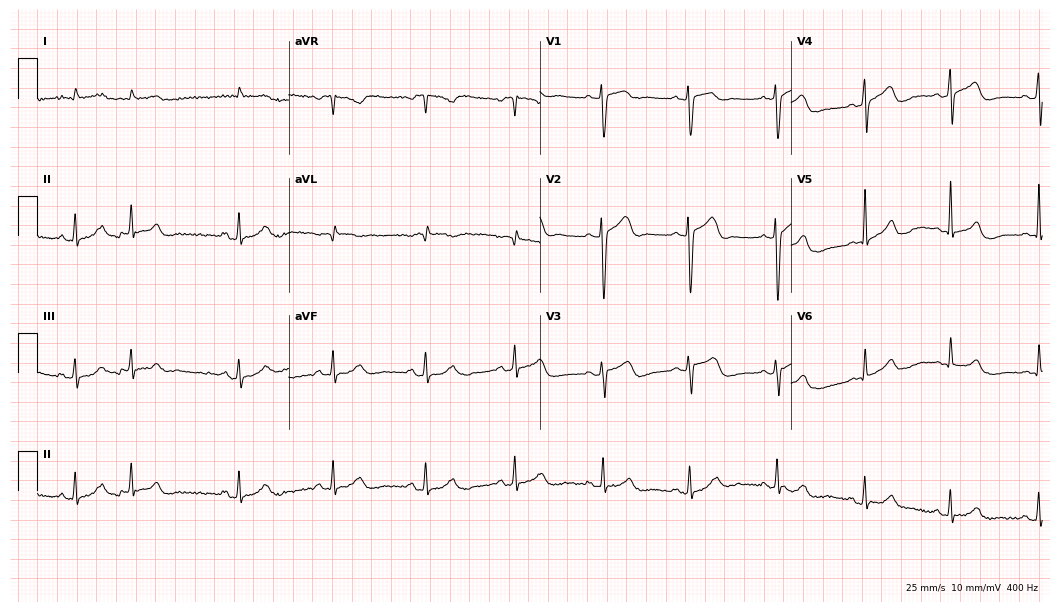
12-lead ECG (10.2-second recording at 400 Hz) from an 85-year-old woman. Screened for six findings — first-degree AV block, right bundle branch block, left bundle branch block, sinus bradycardia, atrial fibrillation, sinus tachycardia — none is recorded.